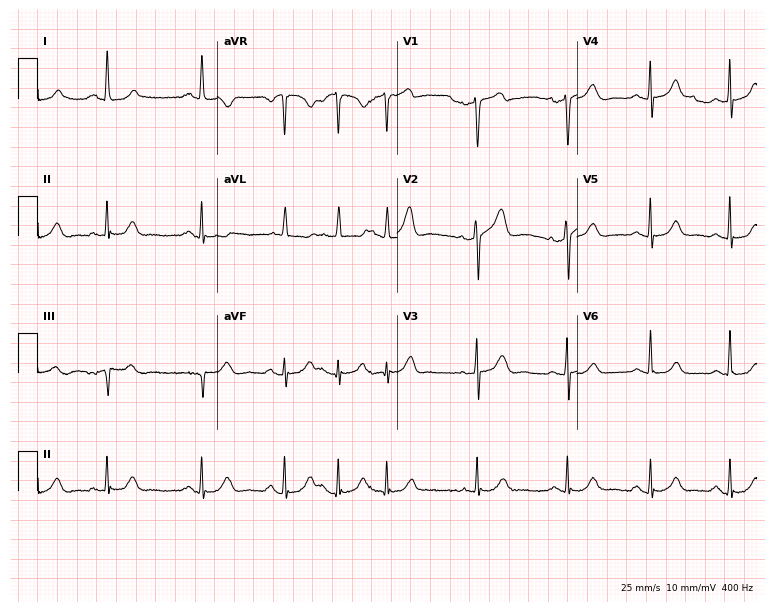
Standard 12-lead ECG recorded from a 78-year-old female patient. None of these six findings is recorded: first-degree AV block, right bundle branch block (RBBB), left bundle branch block (LBBB), sinus bradycardia, atrial fibrillation (AF), sinus tachycardia.